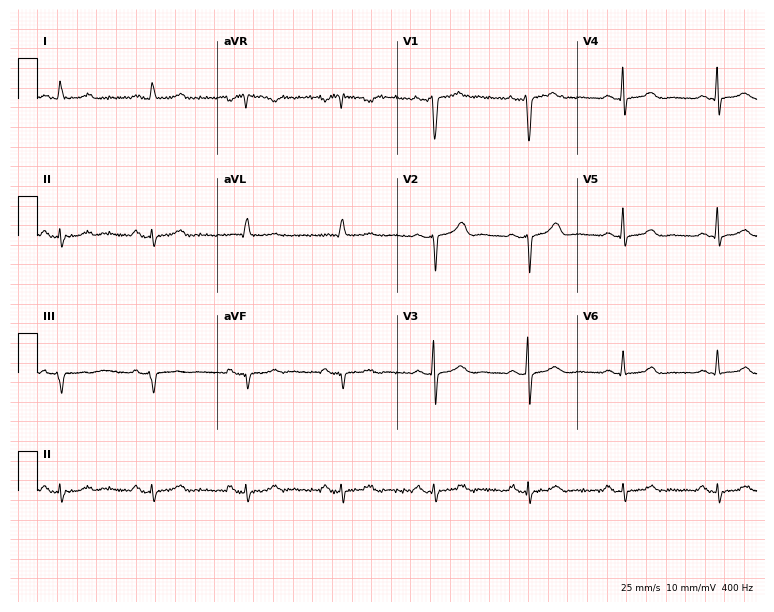
Standard 12-lead ECG recorded from a 46-year-old woman. None of these six findings is recorded: first-degree AV block, right bundle branch block, left bundle branch block, sinus bradycardia, atrial fibrillation, sinus tachycardia. Only these six findings were labelled.